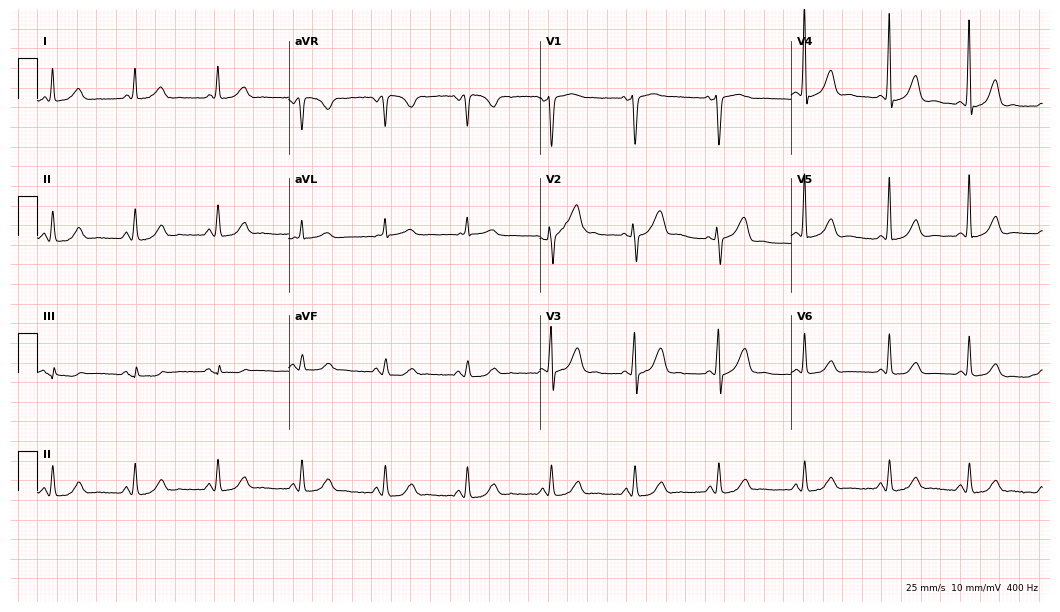
Standard 12-lead ECG recorded from a 70-year-old woman. None of these six findings is recorded: first-degree AV block, right bundle branch block (RBBB), left bundle branch block (LBBB), sinus bradycardia, atrial fibrillation (AF), sinus tachycardia.